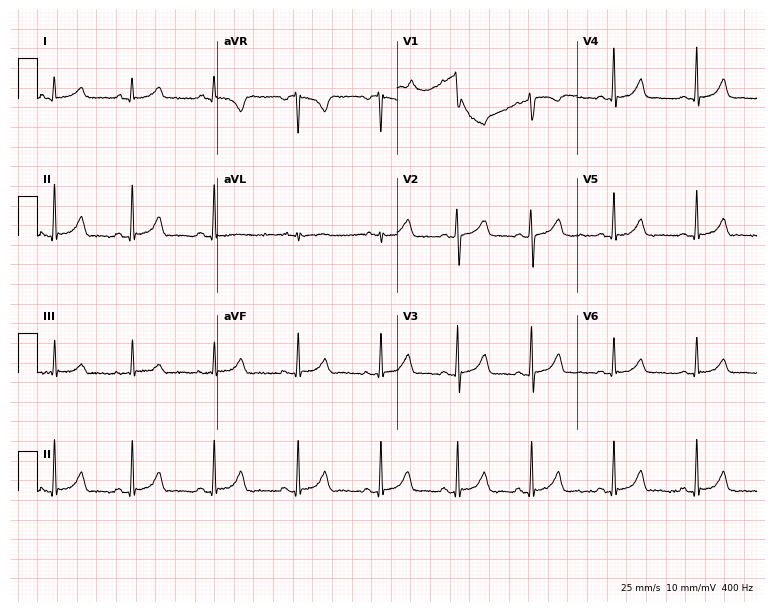
Resting 12-lead electrocardiogram. Patient: a female, 30 years old. Read as a normal ECG.